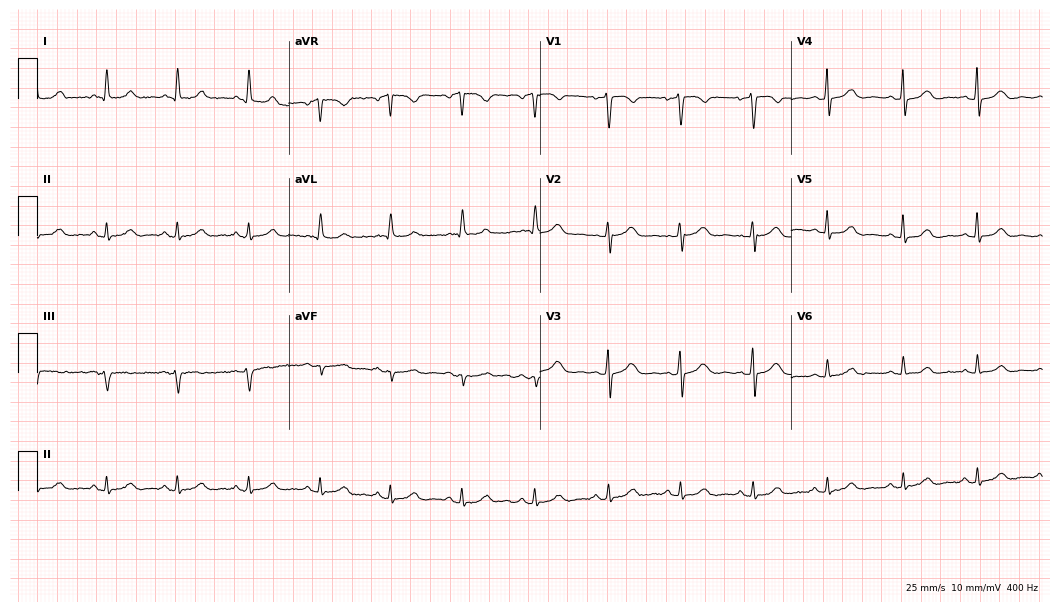
12-lead ECG from a female, 49 years old (10.2-second recording at 400 Hz). No first-degree AV block, right bundle branch block, left bundle branch block, sinus bradycardia, atrial fibrillation or sinus tachycardia recorded for this tracing. Findings outside these six are not listed.